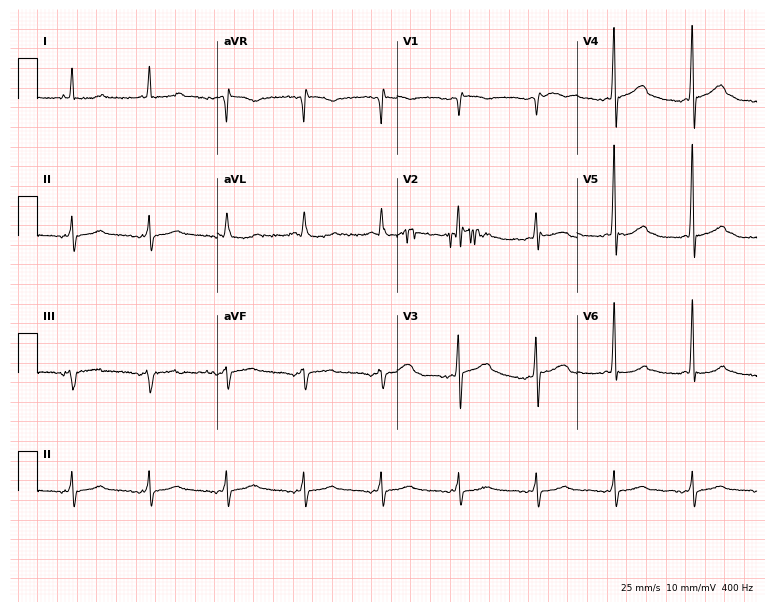
Resting 12-lead electrocardiogram. Patient: a 70-year-old male. None of these six findings is recorded: first-degree AV block, right bundle branch block, left bundle branch block, sinus bradycardia, atrial fibrillation, sinus tachycardia.